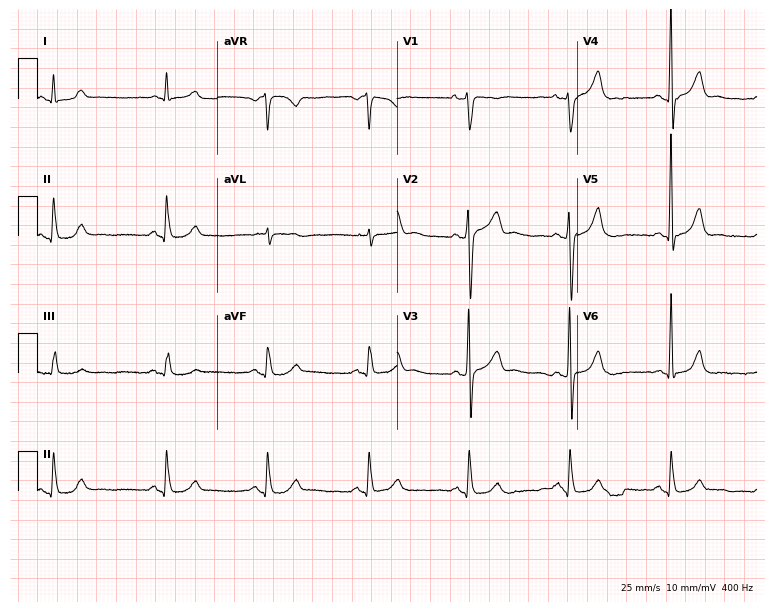
Electrocardiogram, a 64-year-old male. Of the six screened findings (first-degree AV block, right bundle branch block (RBBB), left bundle branch block (LBBB), sinus bradycardia, atrial fibrillation (AF), sinus tachycardia), none is recorded. Findings outside these six are not listed.